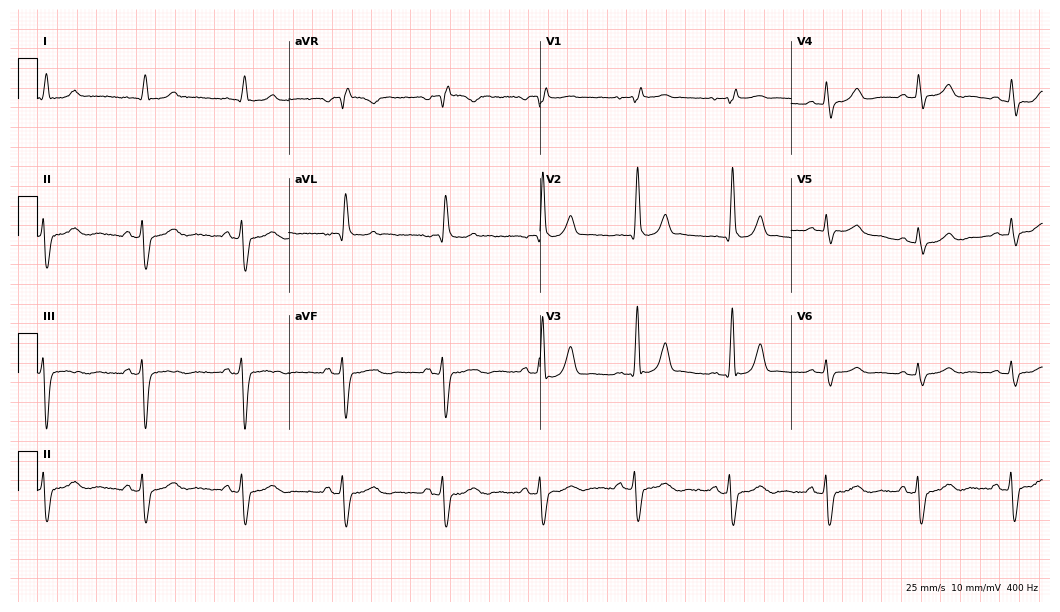
ECG — a 68-year-old woman. Findings include right bundle branch block.